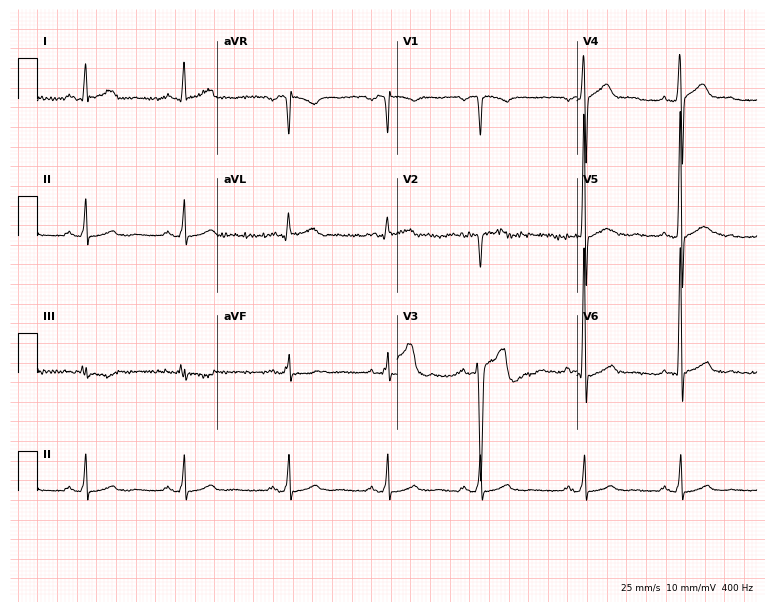
Resting 12-lead electrocardiogram. Patient: a 41-year-old man. None of these six findings is recorded: first-degree AV block, right bundle branch block, left bundle branch block, sinus bradycardia, atrial fibrillation, sinus tachycardia.